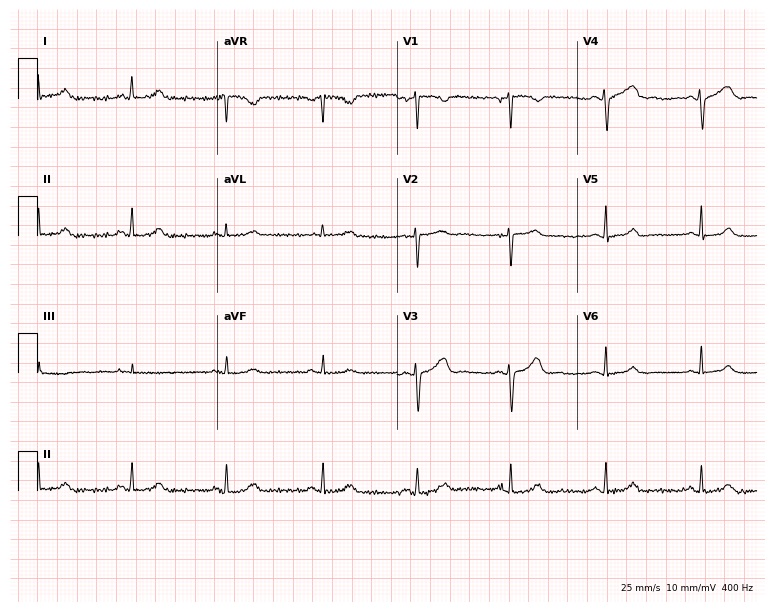
ECG — a female patient, 47 years old. Labelled as a normal ECG.